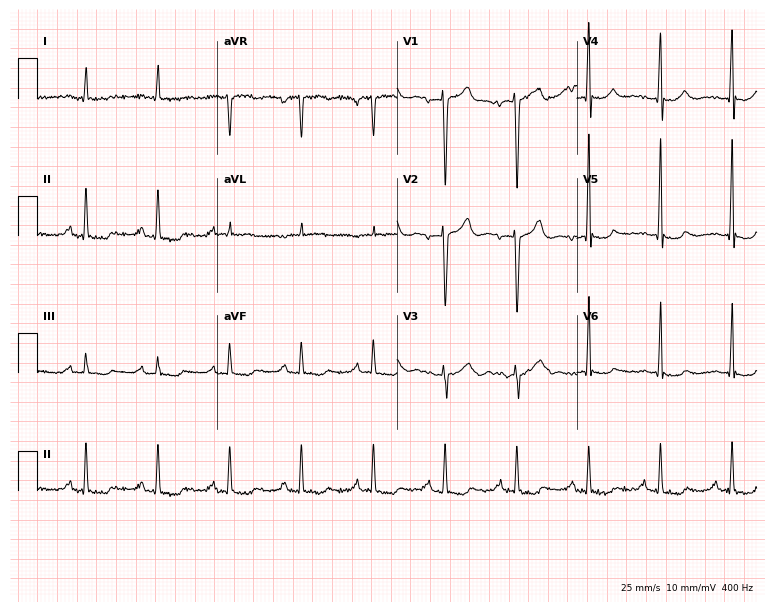
12-lead ECG from a man, 81 years old. Screened for six findings — first-degree AV block, right bundle branch block, left bundle branch block, sinus bradycardia, atrial fibrillation, sinus tachycardia — none is recorded.